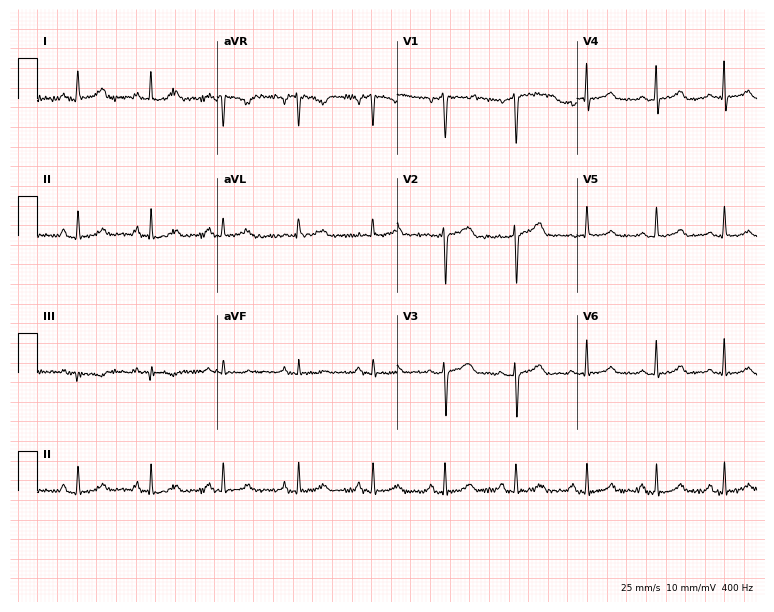
12-lead ECG from a woman, 47 years old. No first-degree AV block, right bundle branch block, left bundle branch block, sinus bradycardia, atrial fibrillation or sinus tachycardia recorded for this tracing.